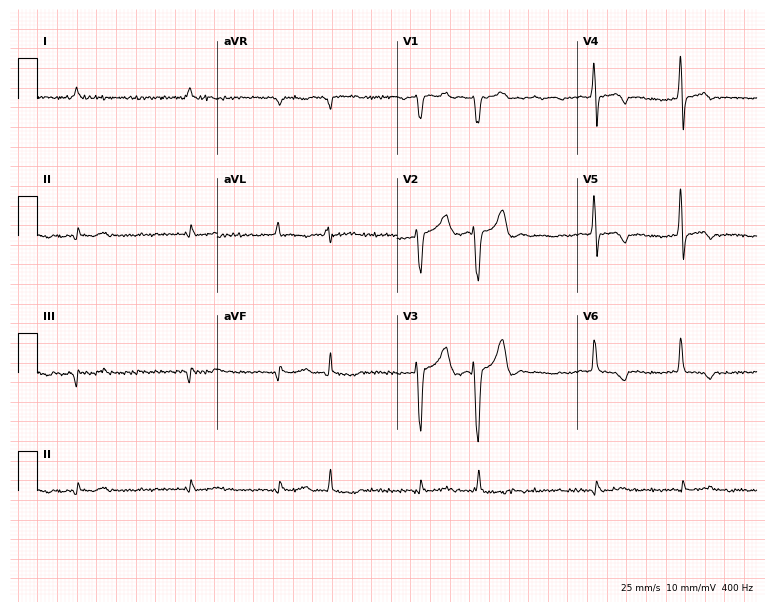
Electrocardiogram, a man, 70 years old. Interpretation includes atrial fibrillation.